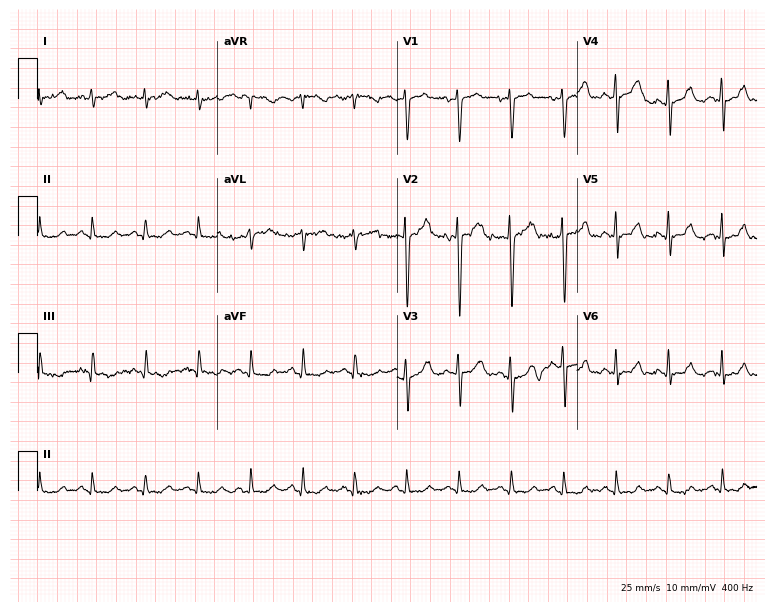
Electrocardiogram (7.3-second recording at 400 Hz), a female, 41 years old. Interpretation includes sinus tachycardia (a sinus rate of 100 beats per minute or more).